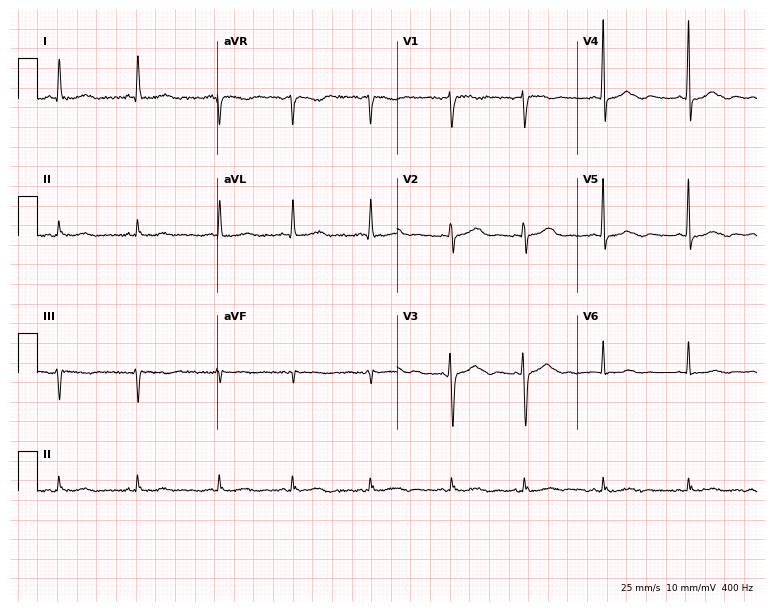
12-lead ECG from a 73-year-old woman (7.3-second recording at 400 Hz). Recorded interpretation: within normal limits.